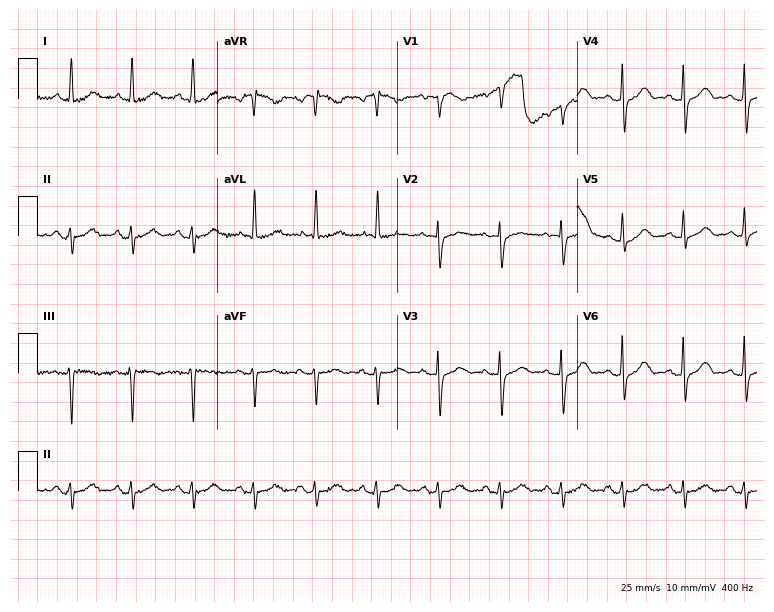
Electrocardiogram, an 83-year-old female patient. Of the six screened findings (first-degree AV block, right bundle branch block, left bundle branch block, sinus bradycardia, atrial fibrillation, sinus tachycardia), none is recorded.